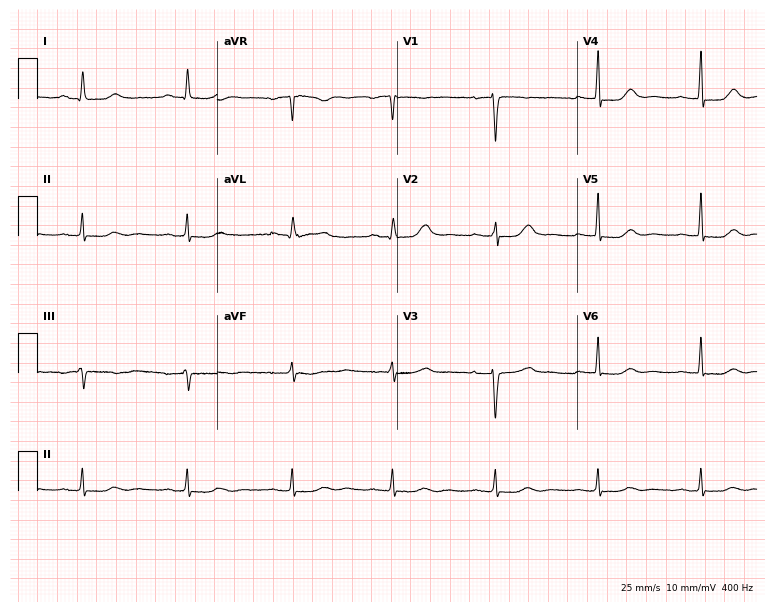
12-lead ECG from a female, 47 years old (7.3-second recording at 400 Hz). Recorded interpretation: within normal limits.